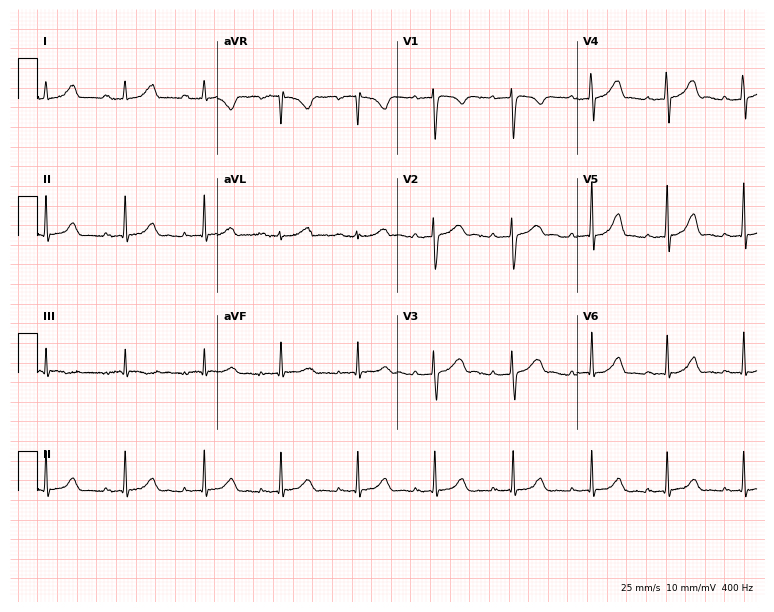
Electrocardiogram (7.3-second recording at 400 Hz), a 30-year-old female. Of the six screened findings (first-degree AV block, right bundle branch block, left bundle branch block, sinus bradycardia, atrial fibrillation, sinus tachycardia), none is recorded.